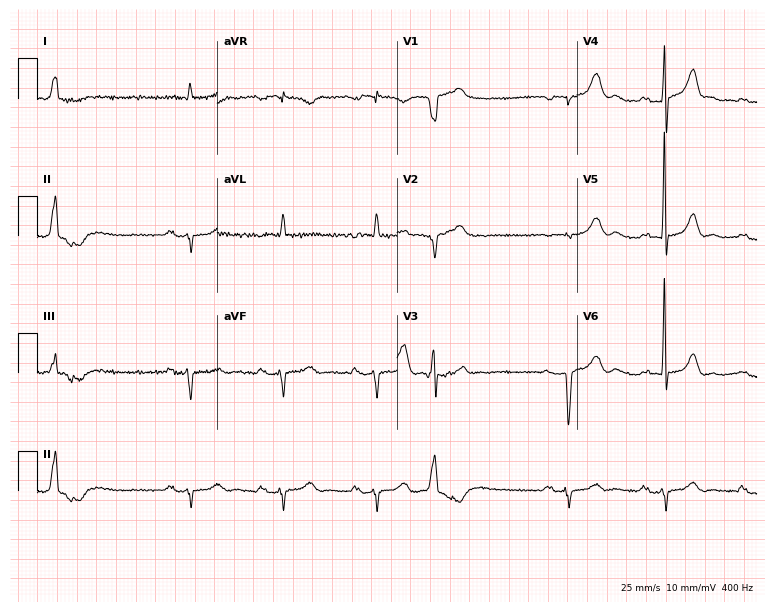
Resting 12-lead electrocardiogram. Patient: a 76-year-old man. None of these six findings is recorded: first-degree AV block, right bundle branch block, left bundle branch block, sinus bradycardia, atrial fibrillation, sinus tachycardia.